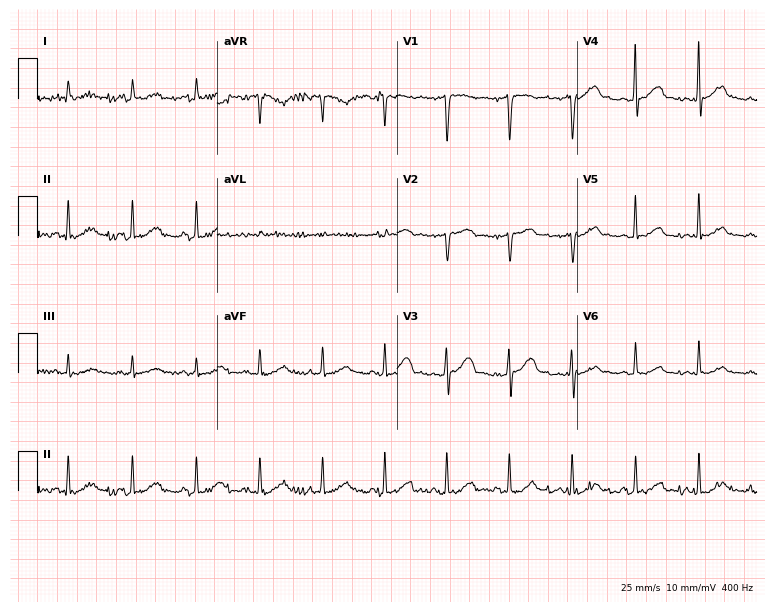
Standard 12-lead ECG recorded from a man, 61 years old (7.3-second recording at 400 Hz). Read as a normal ECG.